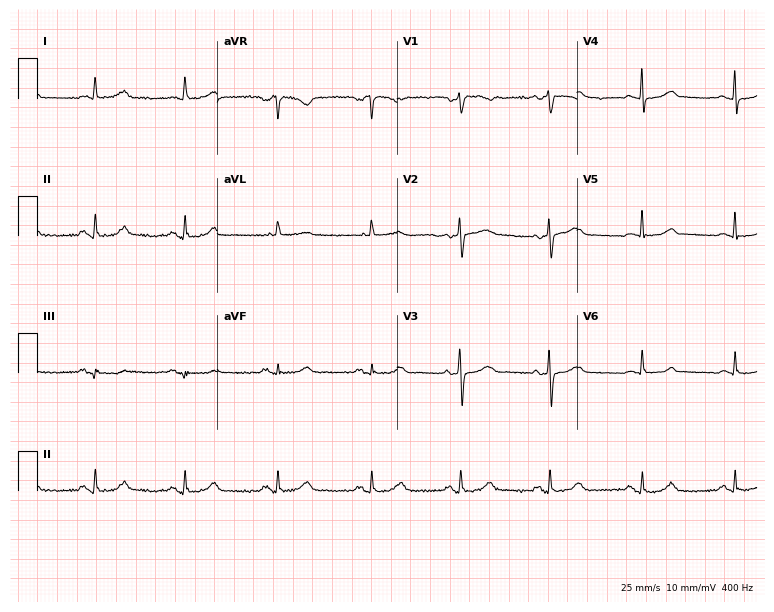
Standard 12-lead ECG recorded from a 55-year-old female. Read as a normal ECG.